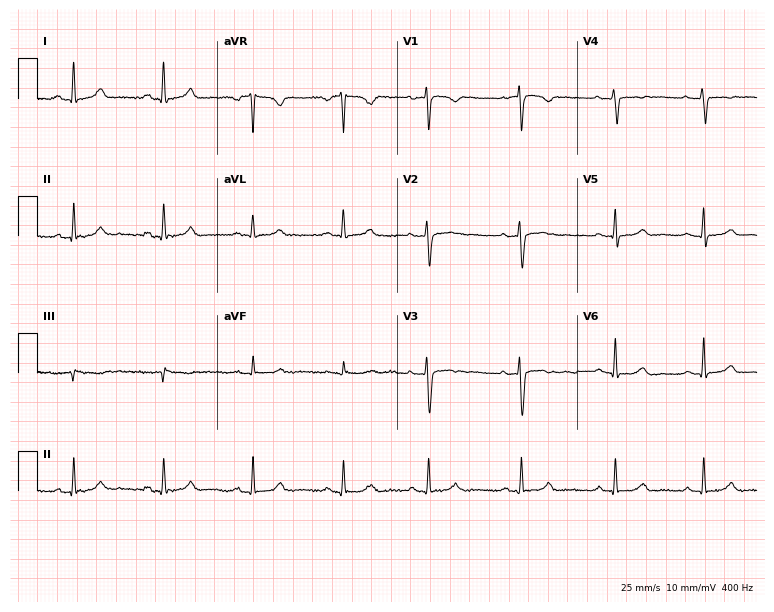
Standard 12-lead ECG recorded from a woman, 43 years old. None of these six findings is recorded: first-degree AV block, right bundle branch block (RBBB), left bundle branch block (LBBB), sinus bradycardia, atrial fibrillation (AF), sinus tachycardia. Findings outside these six are not listed.